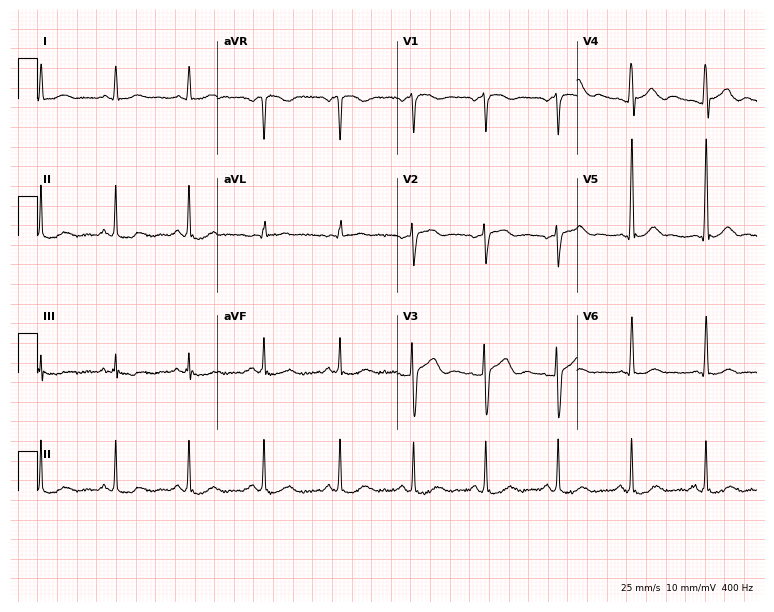
12-lead ECG (7.3-second recording at 400 Hz) from a male, 58 years old. Labelled as a normal ECG.